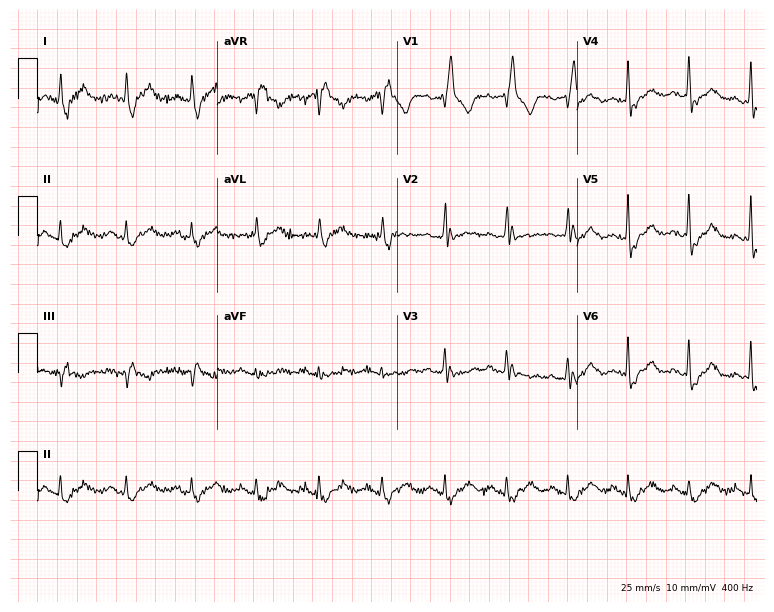
Standard 12-lead ECG recorded from a male, 84 years old (7.3-second recording at 400 Hz). None of these six findings is recorded: first-degree AV block, right bundle branch block (RBBB), left bundle branch block (LBBB), sinus bradycardia, atrial fibrillation (AF), sinus tachycardia.